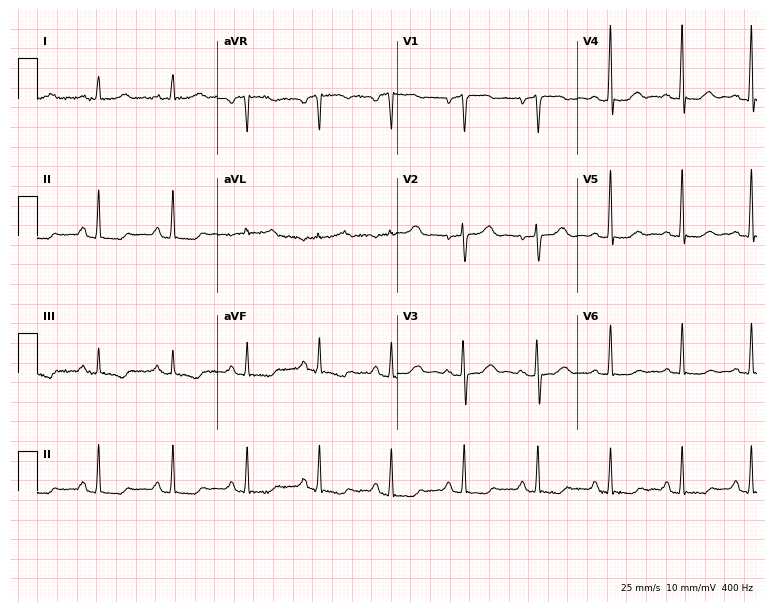
12-lead ECG from a 66-year-old female patient (7.3-second recording at 400 Hz). No first-degree AV block, right bundle branch block (RBBB), left bundle branch block (LBBB), sinus bradycardia, atrial fibrillation (AF) or sinus tachycardia recorded for this tracing. Findings outside these six are not listed.